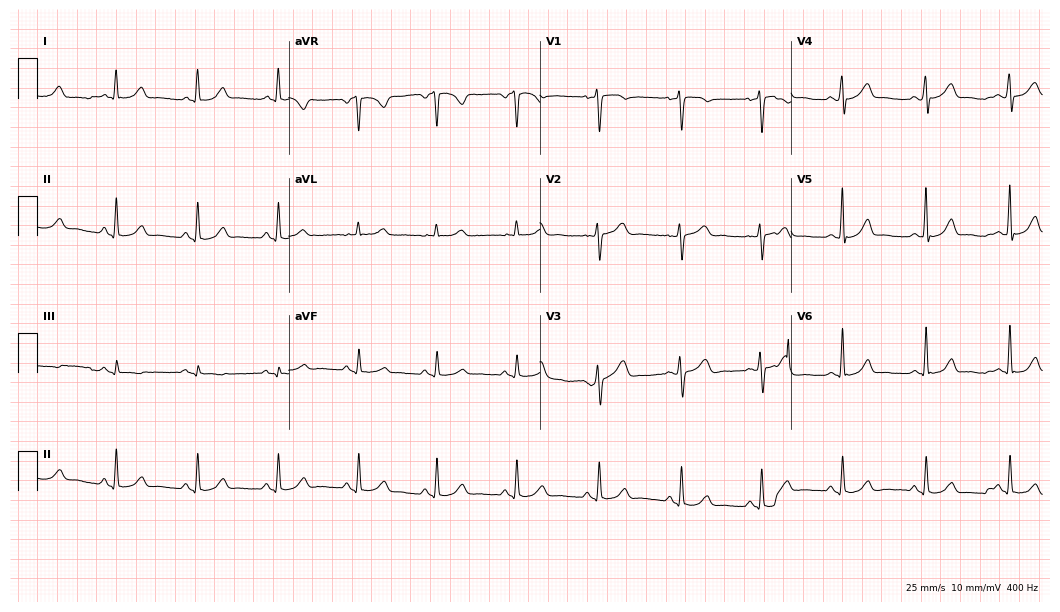
Resting 12-lead electrocardiogram (10.2-second recording at 400 Hz). Patient: a 41-year-old female. Read as a normal ECG.